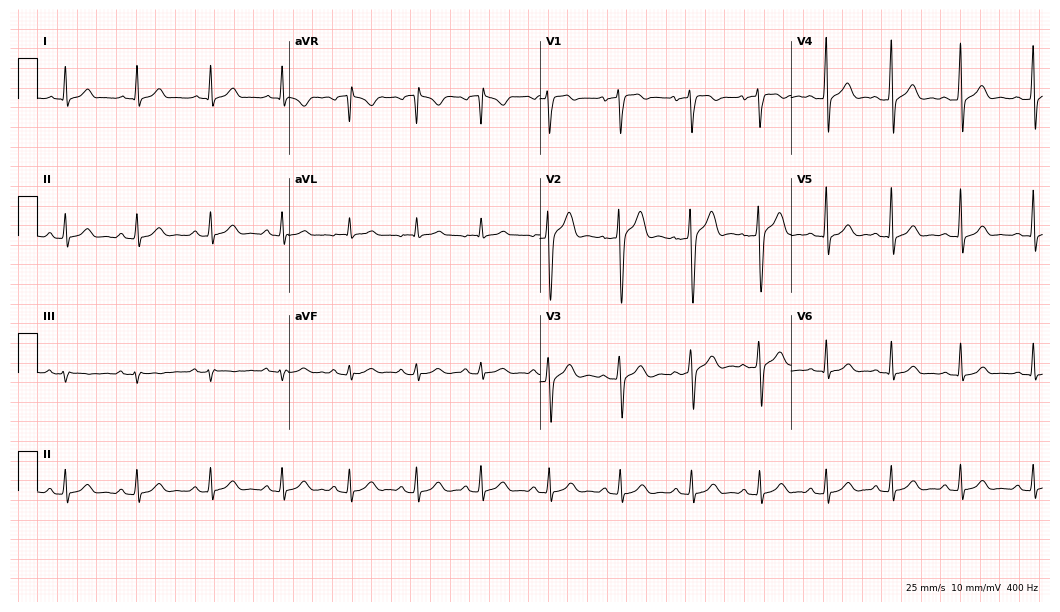
12-lead ECG from a male patient, 23 years old. Recorded interpretation: within normal limits.